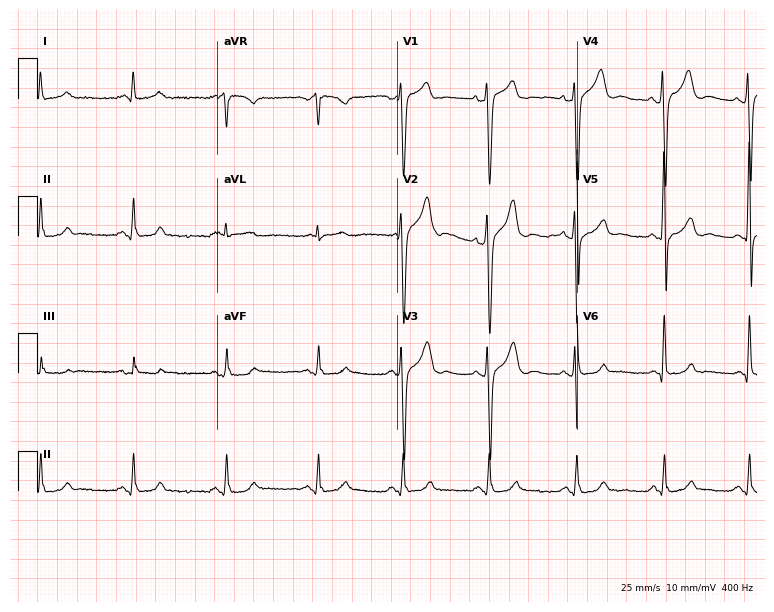
12-lead ECG from a 42-year-old male. Recorded interpretation: within normal limits.